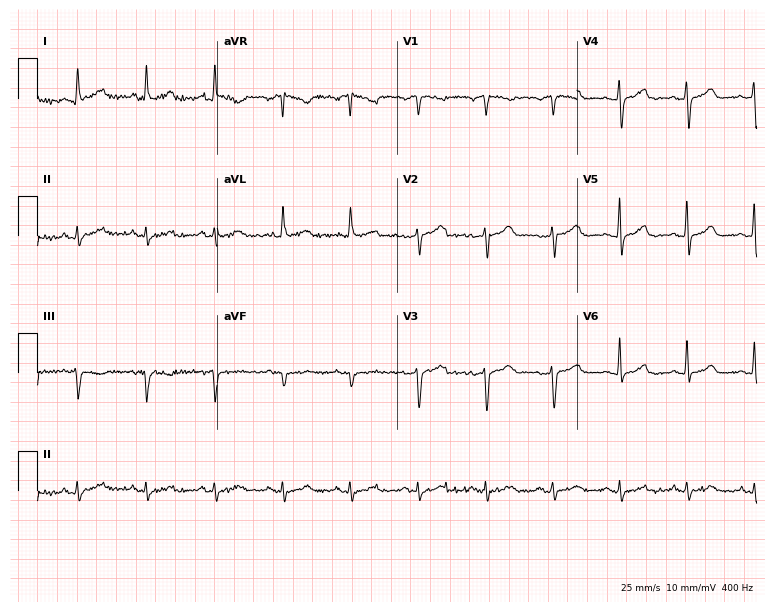
Electrocardiogram (7.3-second recording at 400 Hz), a 65-year-old woman. Of the six screened findings (first-degree AV block, right bundle branch block (RBBB), left bundle branch block (LBBB), sinus bradycardia, atrial fibrillation (AF), sinus tachycardia), none is recorded.